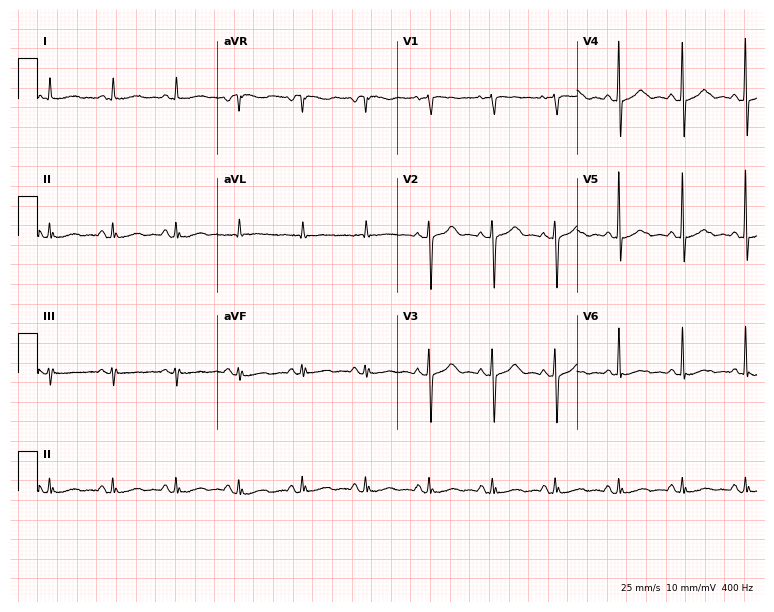
Electrocardiogram, a 79-year-old female. Of the six screened findings (first-degree AV block, right bundle branch block (RBBB), left bundle branch block (LBBB), sinus bradycardia, atrial fibrillation (AF), sinus tachycardia), none is recorded. Findings outside these six are not listed.